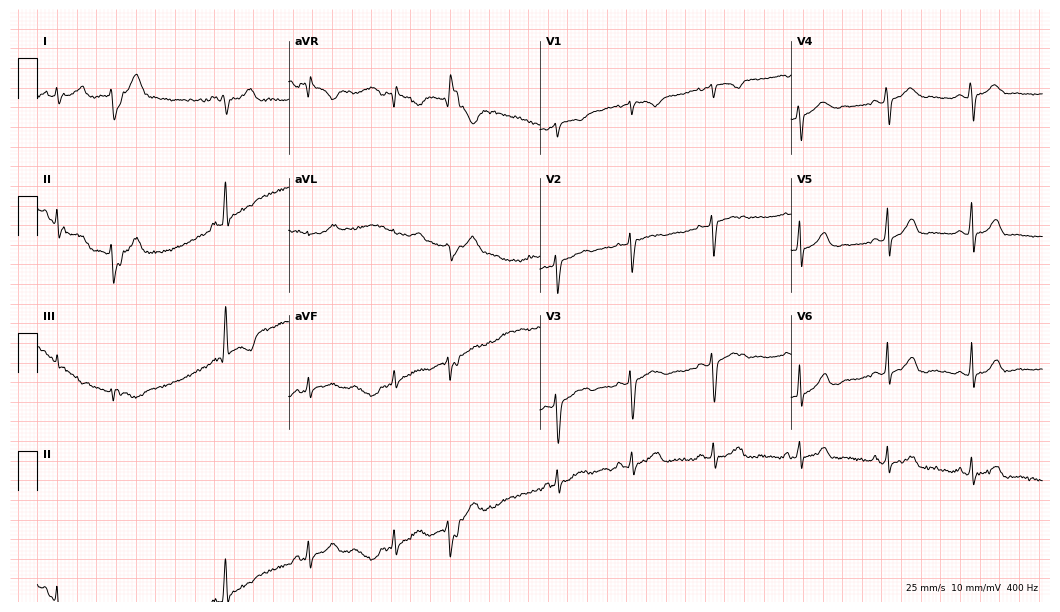
Standard 12-lead ECG recorded from a 25-year-old woman. Read as a normal ECG.